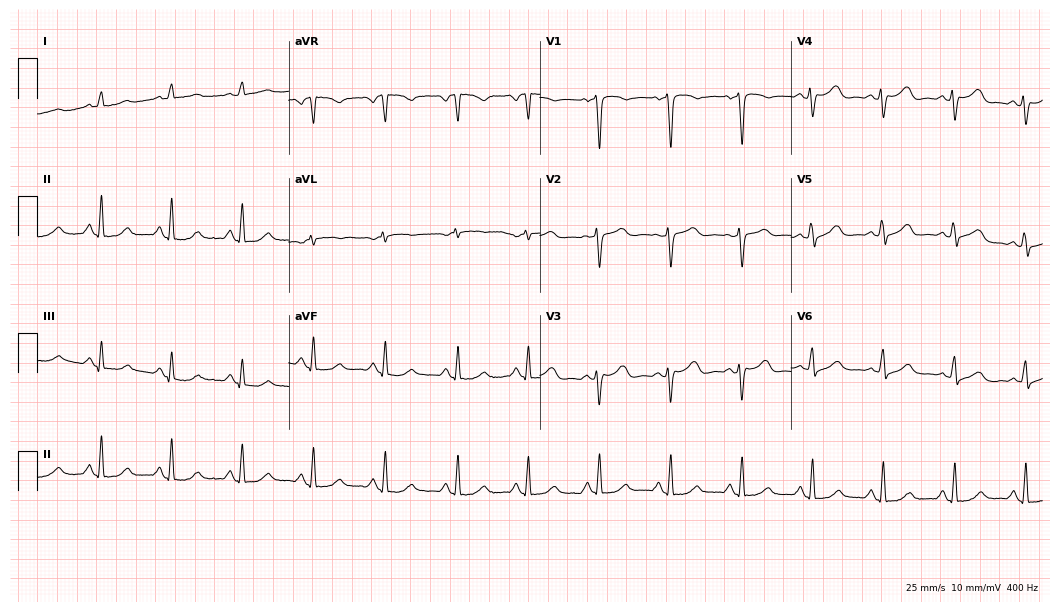
Standard 12-lead ECG recorded from an 81-year-old man. None of these six findings is recorded: first-degree AV block, right bundle branch block, left bundle branch block, sinus bradycardia, atrial fibrillation, sinus tachycardia. Findings outside these six are not listed.